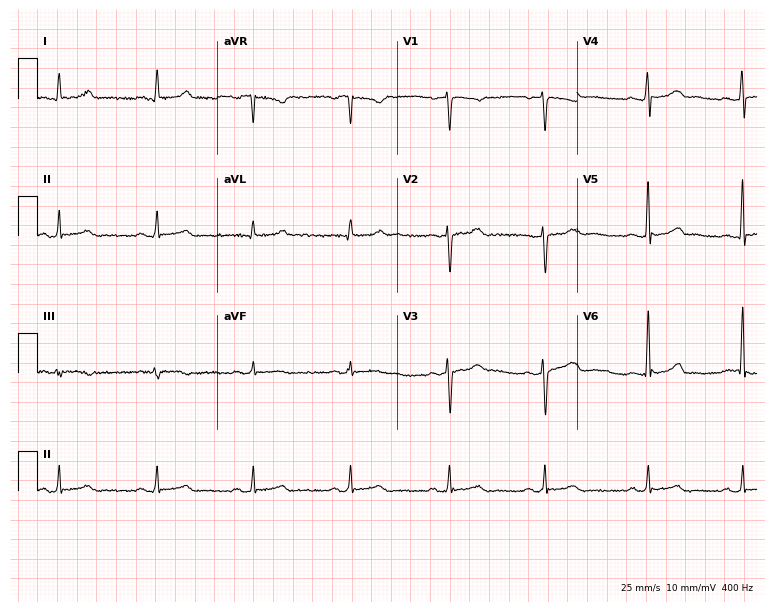
Electrocardiogram, a woman, 44 years old. Overall reading on record: normal ECG.